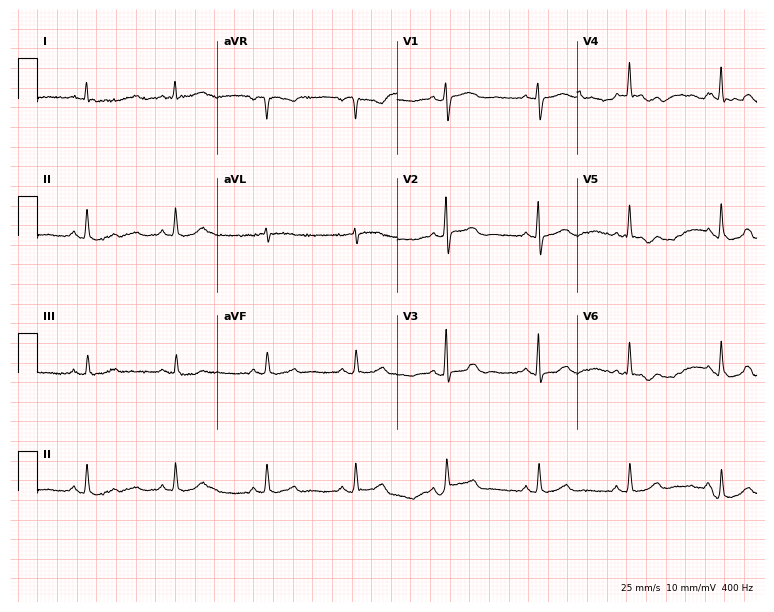
12-lead ECG from a 73-year-old female patient. No first-degree AV block, right bundle branch block, left bundle branch block, sinus bradycardia, atrial fibrillation or sinus tachycardia recorded for this tracing.